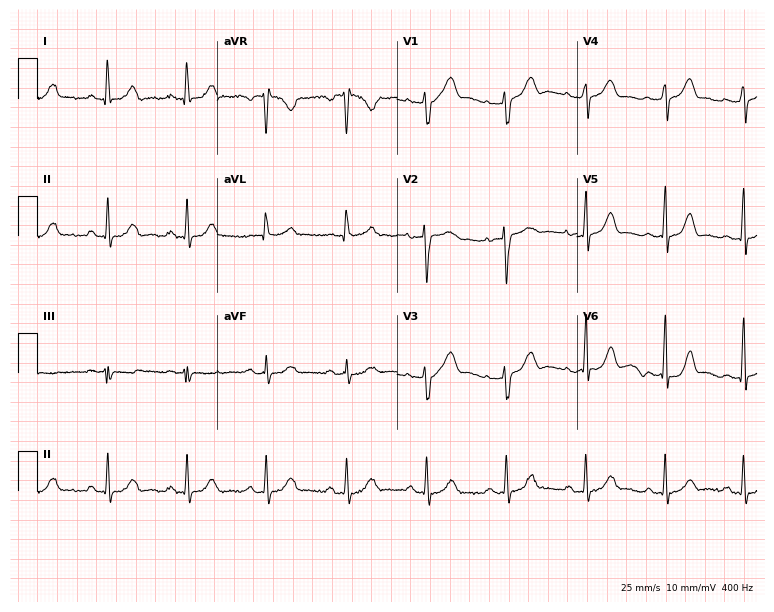
12-lead ECG (7.3-second recording at 400 Hz) from a 42-year-old woman. Labelled as a normal ECG.